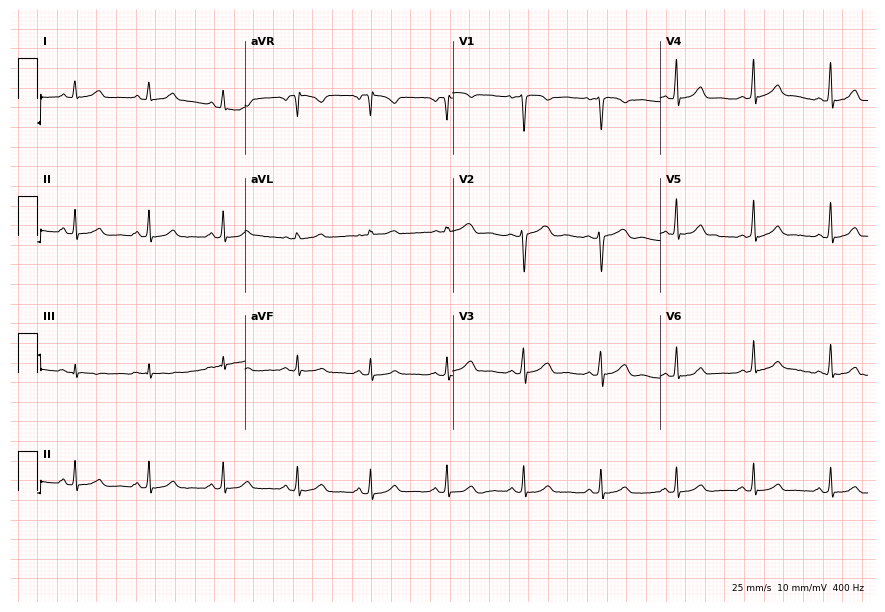
Standard 12-lead ECG recorded from a female patient, 41 years old. Read as a normal ECG.